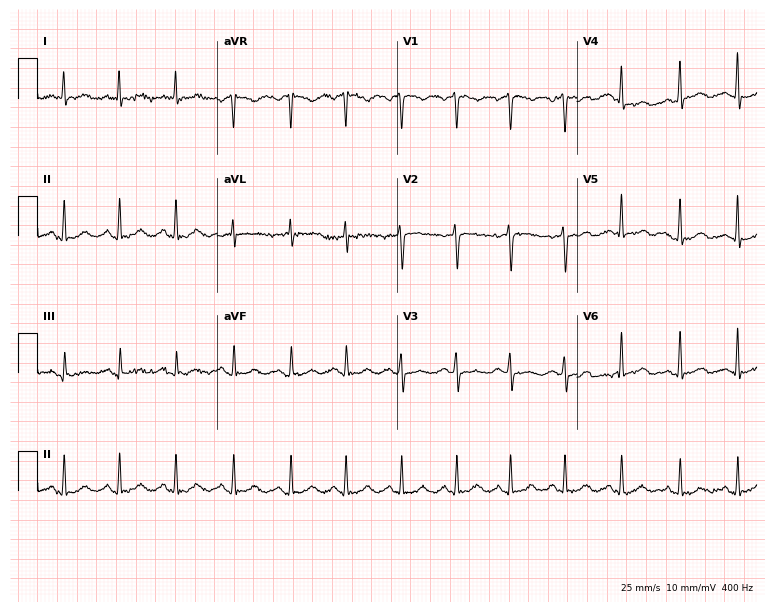
ECG — a woman, 41 years old. Screened for six findings — first-degree AV block, right bundle branch block (RBBB), left bundle branch block (LBBB), sinus bradycardia, atrial fibrillation (AF), sinus tachycardia — none is recorded.